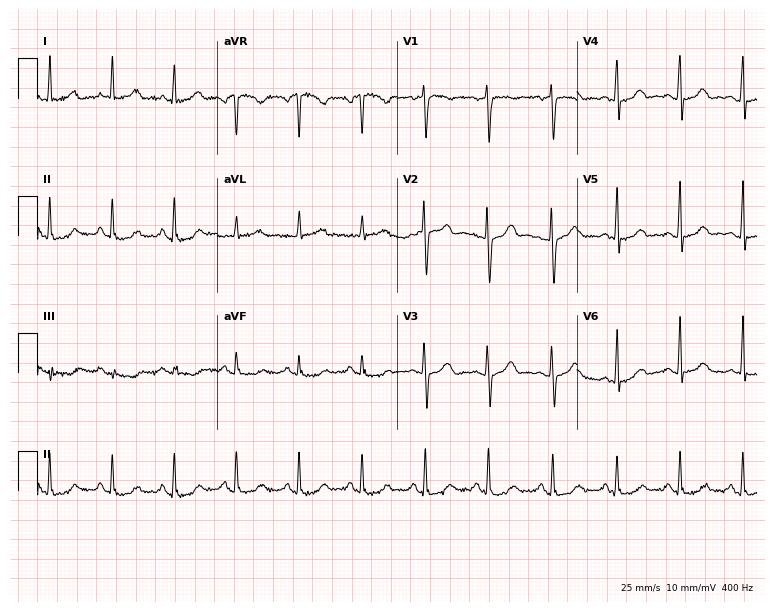
ECG (7.3-second recording at 400 Hz) — a female, 48 years old. Labelled as a normal ECG.